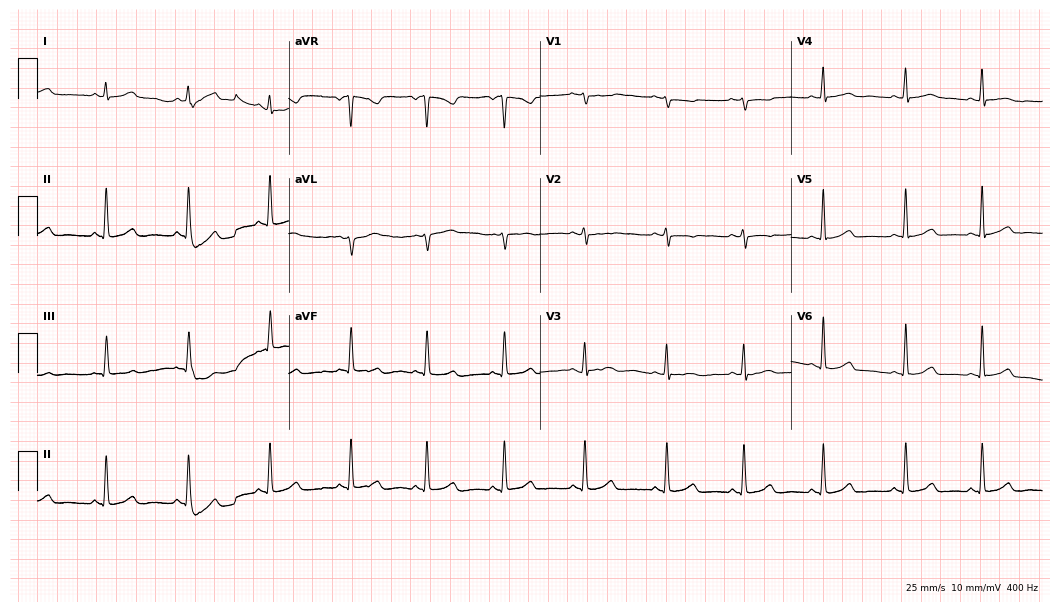
Standard 12-lead ECG recorded from a 33-year-old female patient (10.2-second recording at 400 Hz). None of these six findings is recorded: first-degree AV block, right bundle branch block, left bundle branch block, sinus bradycardia, atrial fibrillation, sinus tachycardia. Only these six findings were labelled.